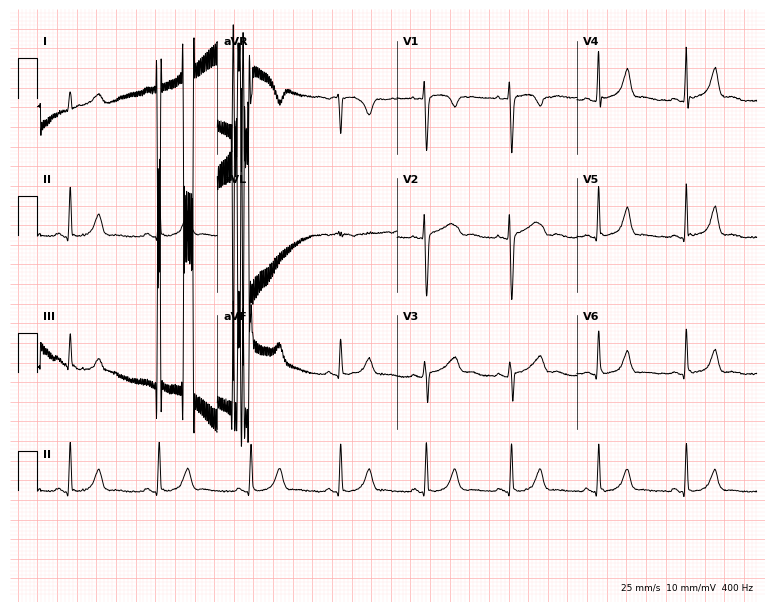
Electrocardiogram, a 34-year-old female. Overall reading on record: normal ECG.